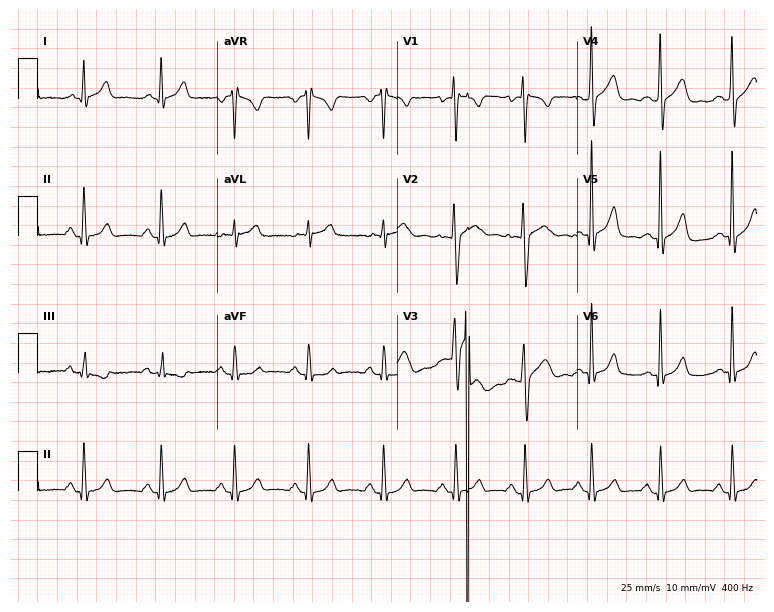
12-lead ECG from a 28-year-old man (7.3-second recording at 400 Hz). No first-degree AV block, right bundle branch block, left bundle branch block, sinus bradycardia, atrial fibrillation or sinus tachycardia recorded for this tracing. Findings outside these six are not listed.